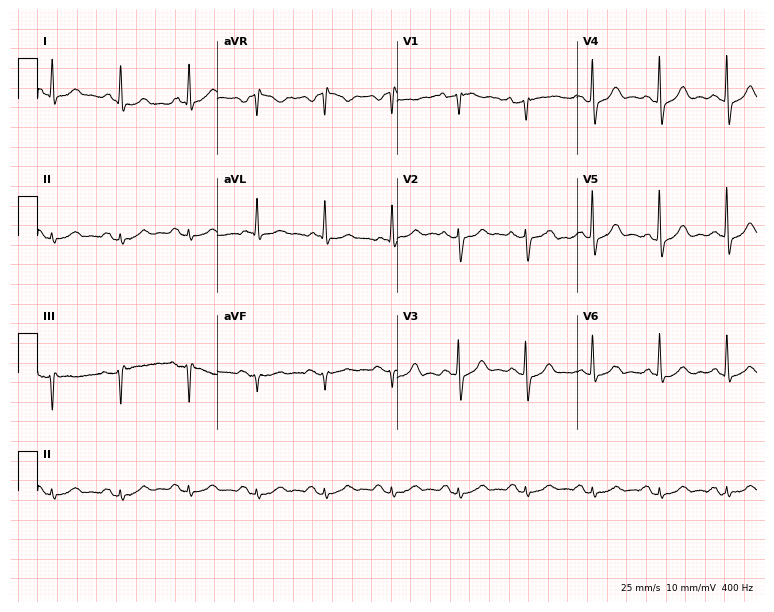
Standard 12-lead ECG recorded from an 82-year-old male patient. None of these six findings is recorded: first-degree AV block, right bundle branch block, left bundle branch block, sinus bradycardia, atrial fibrillation, sinus tachycardia. Other findings, if any, are not listed.